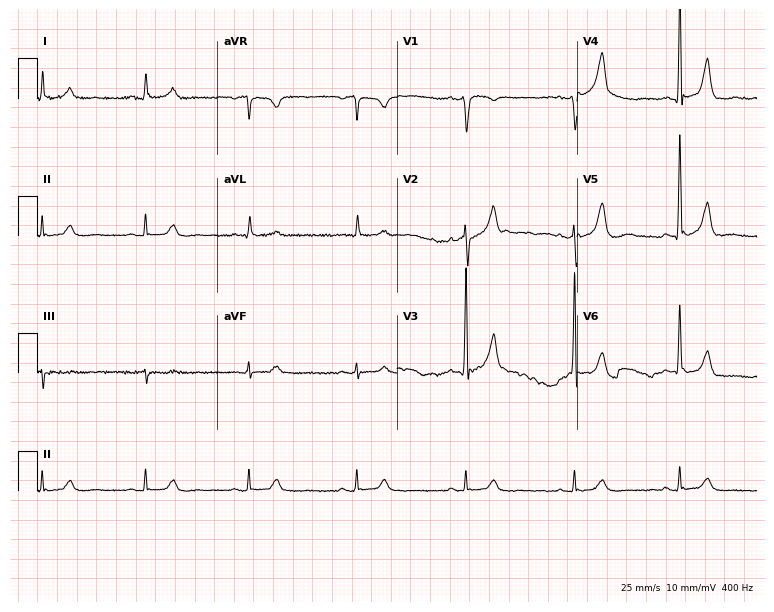
12-lead ECG from a male, 68 years old (7.3-second recording at 400 Hz). No first-degree AV block, right bundle branch block, left bundle branch block, sinus bradycardia, atrial fibrillation or sinus tachycardia recorded for this tracing. Other findings, if any, are not listed.